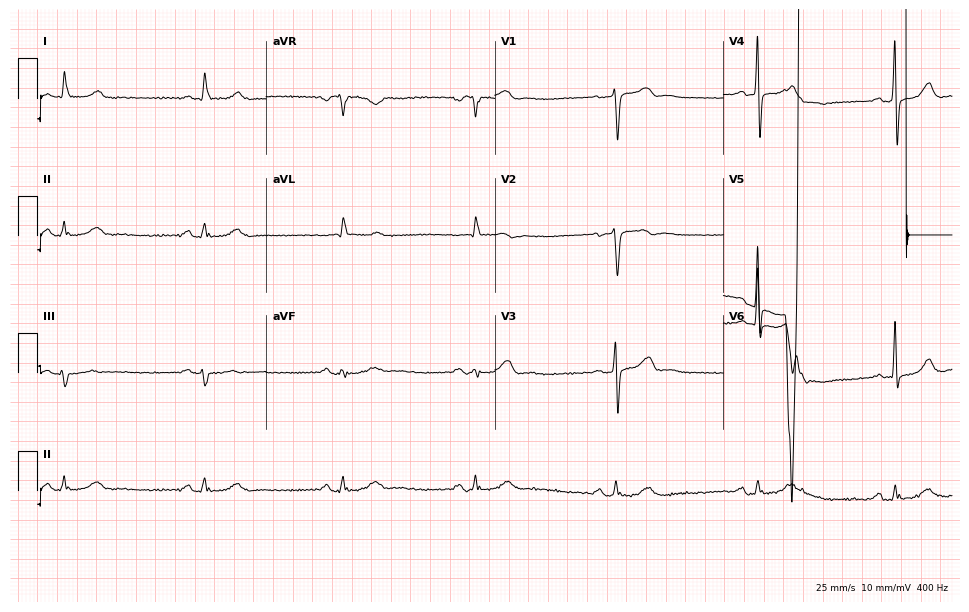
Standard 12-lead ECG recorded from a male patient, 67 years old. The tracing shows sinus bradycardia (a sinus rate of 50 beats per minute or less).